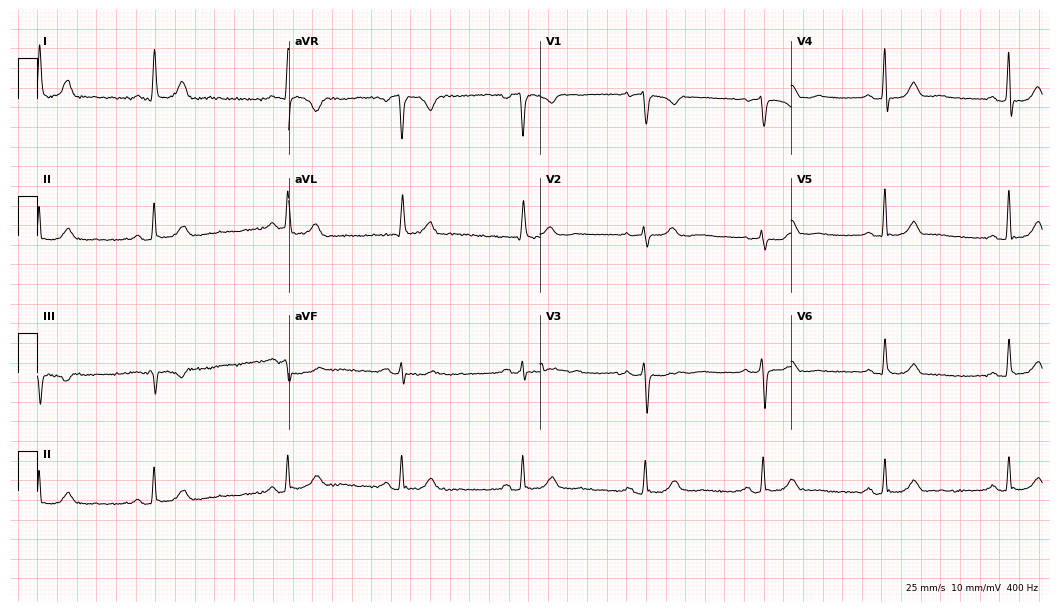
Standard 12-lead ECG recorded from a woman, 74 years old (10.2-second recording at 400 Hz). Read as a normal ECG.